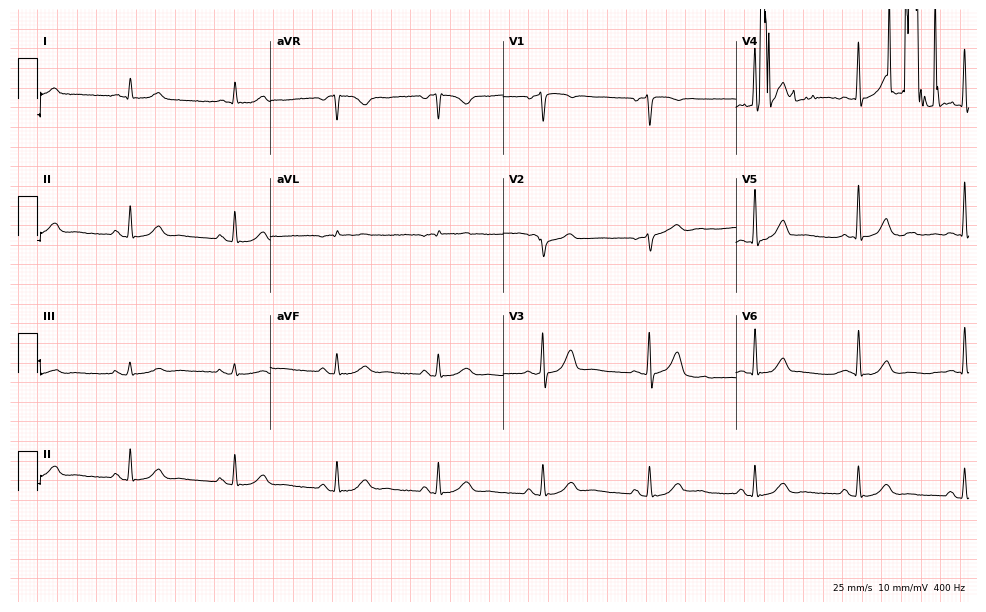
Electrocardiogram (9.5-second recording at 400 Hz), a male, 74 years old. Of the six screened findings (first-degree AV block, right bundle branch block, left bundle branch block, sinus bradycardia, atrial fibrillation, sinus tachycardia), none is recorded. Findings outside these six are not listed.